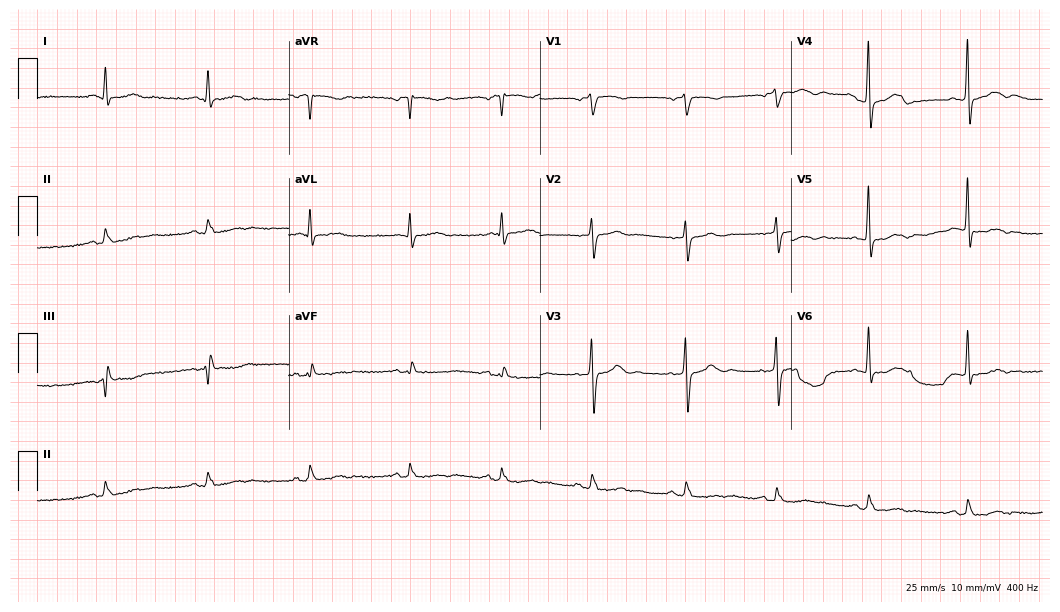
Standard 12-lead ECG recorded from a 62-year-old male patient. Read as a normal ECG.